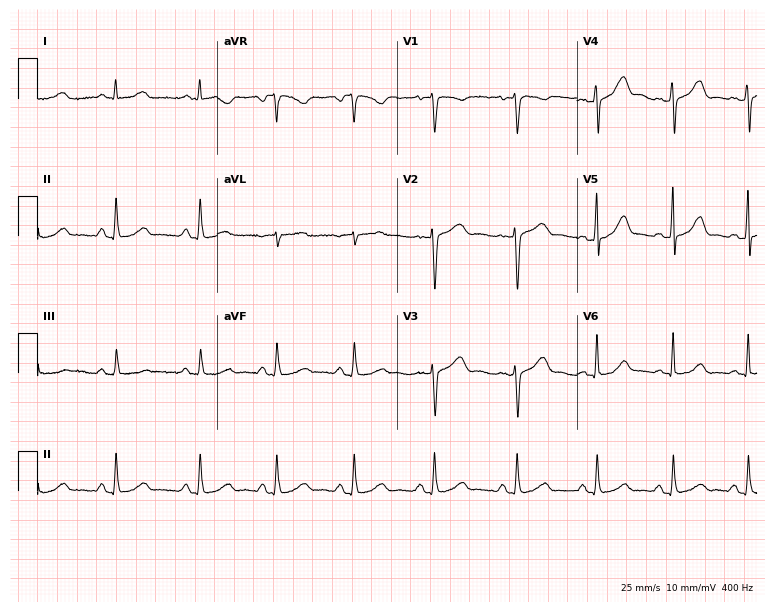
Electrocardiogram, a female patient, 33 years old. Of the six screened findings (first-degree AV block, right bundle branch block, left bundle branch block, sinus bradycardia, atrial fibrillation, sinus tachycardia), none is recorded.